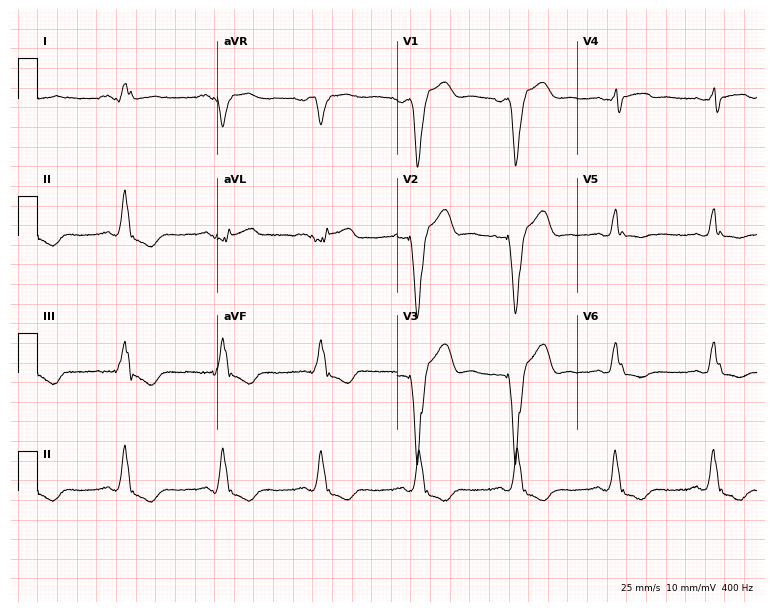
Electrocardiogram, a woman, 48 years old. Of the six screened findings (first-degree AV block, right bundle branch block, left bundle branch block, sinus bradycardia, atrial fibrillation, sinus tachycardia), none is recorded.